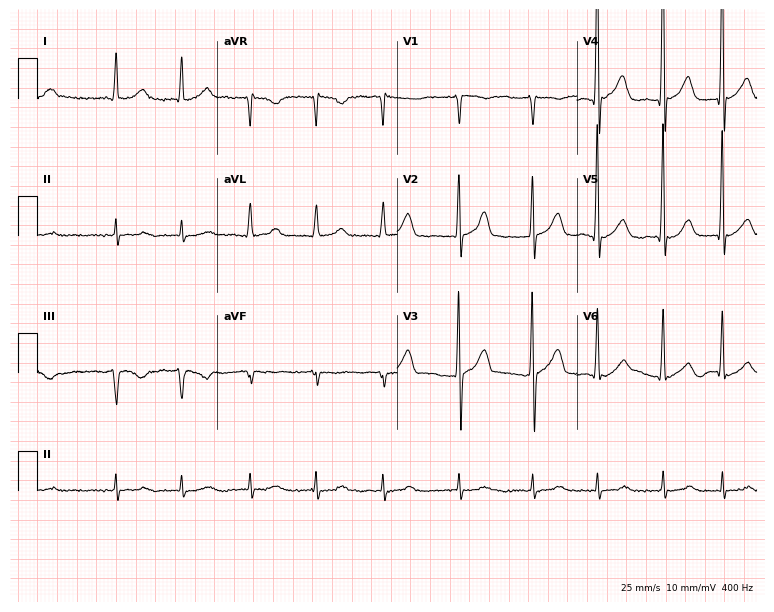
Standard 12-lead ECG recorded from a 77-year-old man (7.3-second recording at 400 Hz). None of these six findings is recorded: first-degree AV block, right bundle branch block, left bundle branch block, sinus bradycardia, atrial fibrillation, sinus tachycardia. Other findings, if any, are not listed.